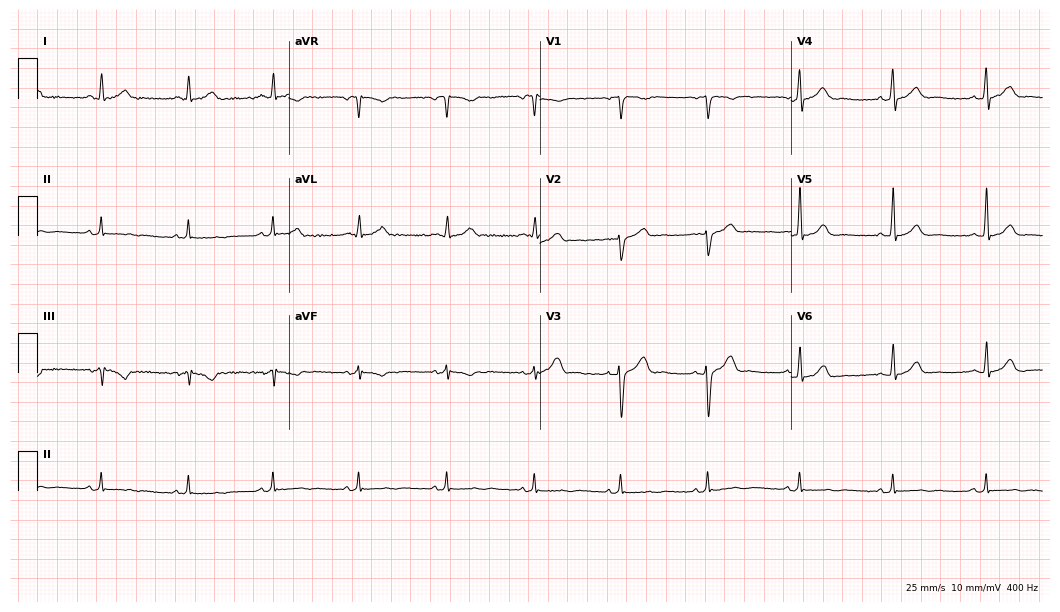
12-lead ECG (10.2-second recording at 400 Hz) from a male, 38 years old. Labelled as a normal ECG.